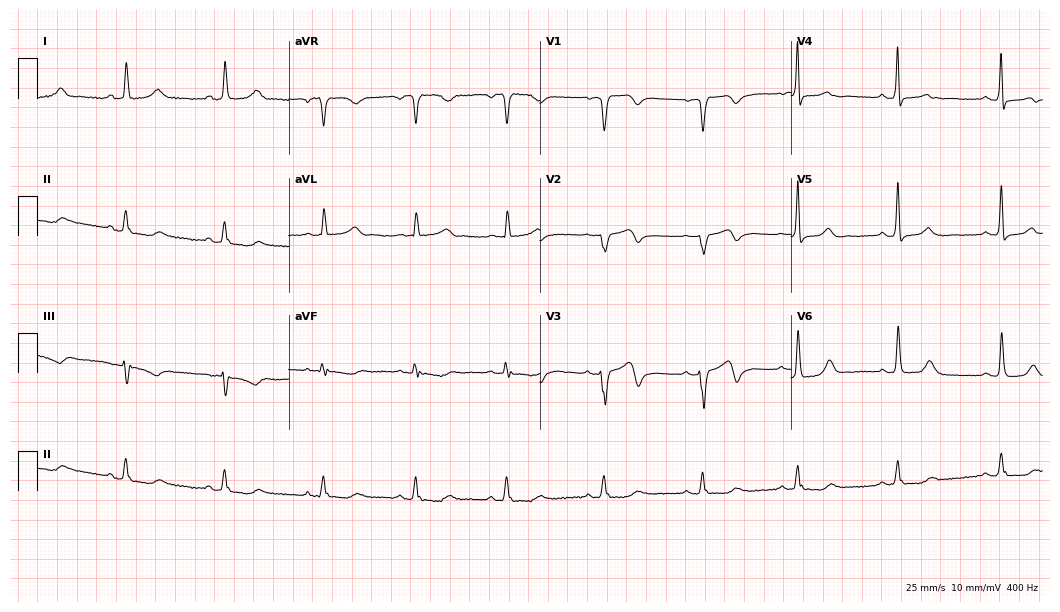
Standard 12-lead ECG recorded from a 58-year-old woman (10.2-second recording at 400 Hz). None of these six findings is recorded: first-degree AV block, right bundle branch block, left bundle branch block, sinus bradycardia, atrial fibrillation, sinus tachycardia.